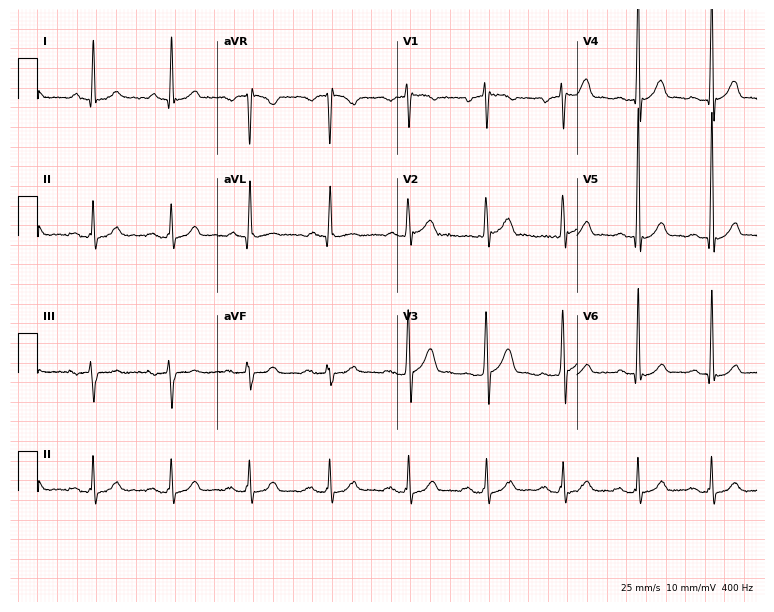
Electrocardiogram, a man, 66 years old. Overall reading on record: normal ECG.